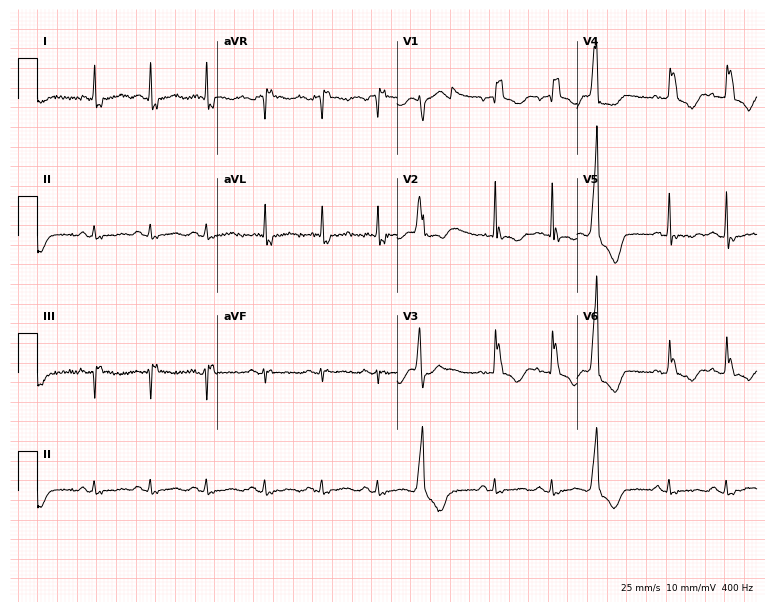
Resting 12-lead electrocardiogram (7.3-second recording at 400 Hz). Patient: an 85-year-old woman. The tracing shows right bundle branch block.